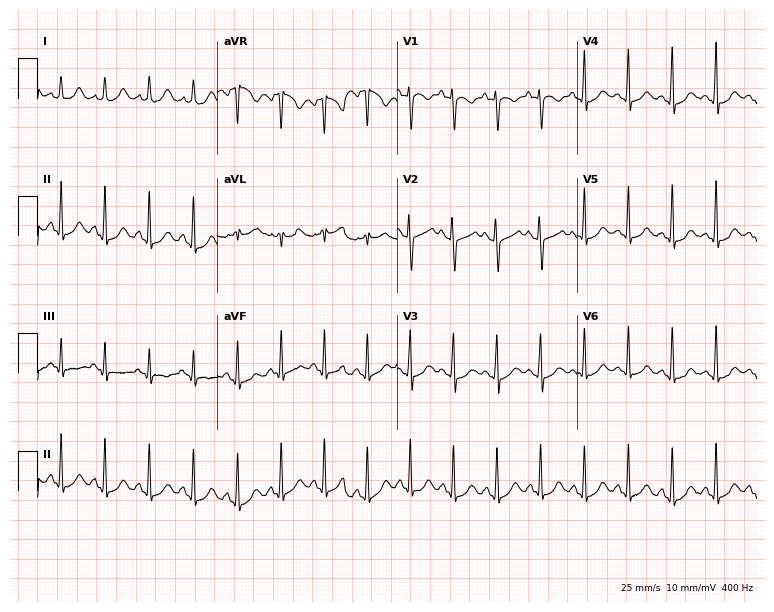
12-lead ECG from a female, 36 years old. Shows sinus tachycardia (a sinus rate of 100 beats per minute or more).